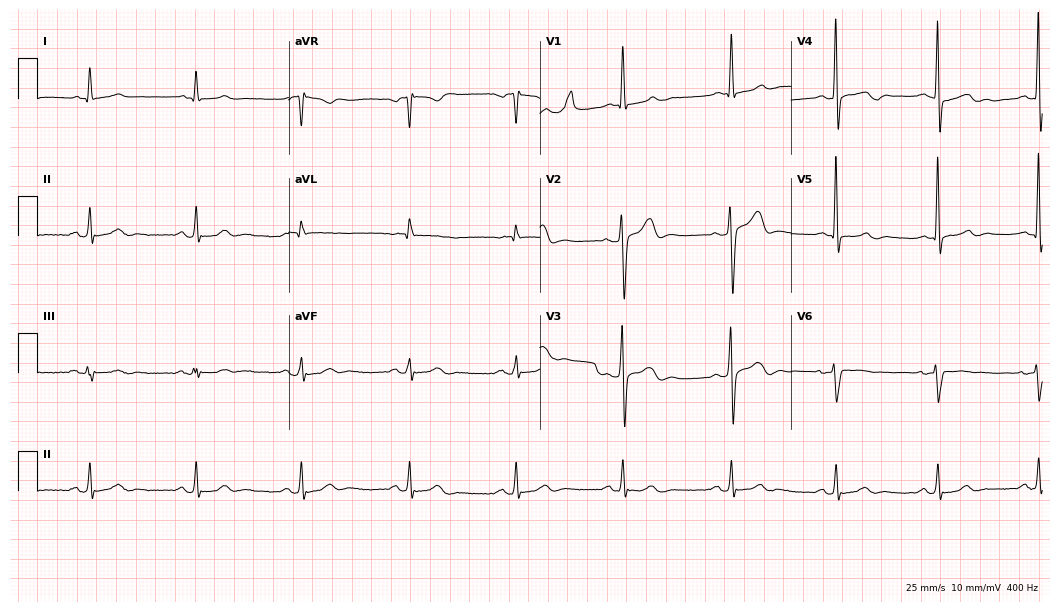
Standard 12-lead ECG recorded from a 69-year-old man (10.2-second recording at 400 Hz). None of these six findings is recorded: first-degree AV block, right bundle branch block, left bundle branch block, sinus bradycardia, atrial fibrillation, sinus tachycardia.